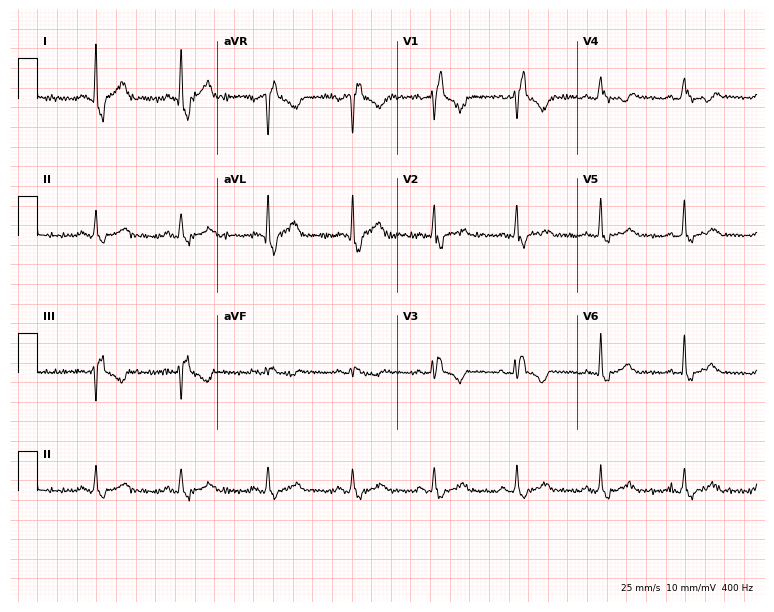
12-lead ECG (7.3-second recording at 400 Hz) from a 40-year-old female patient. Findings include right bundle branch block.